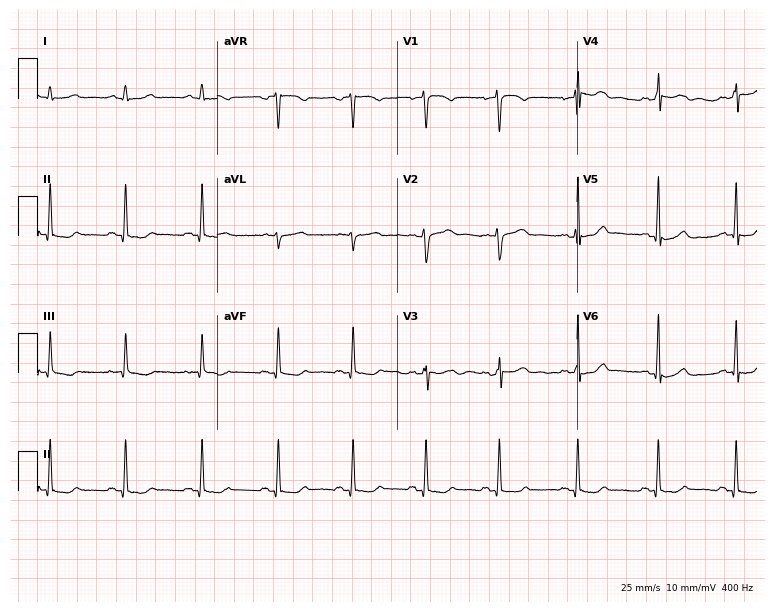
Standard 12-lead ECG recorded from a woman, 44 years old. None of these six findings is recorded: first-degree AV block, right bundle branch block (RBBB), left bundle branch block (LBBB), sinus bradycardia, atrial fibrillation (AF), sinus tachycardia. Findings outside these six are not listed.